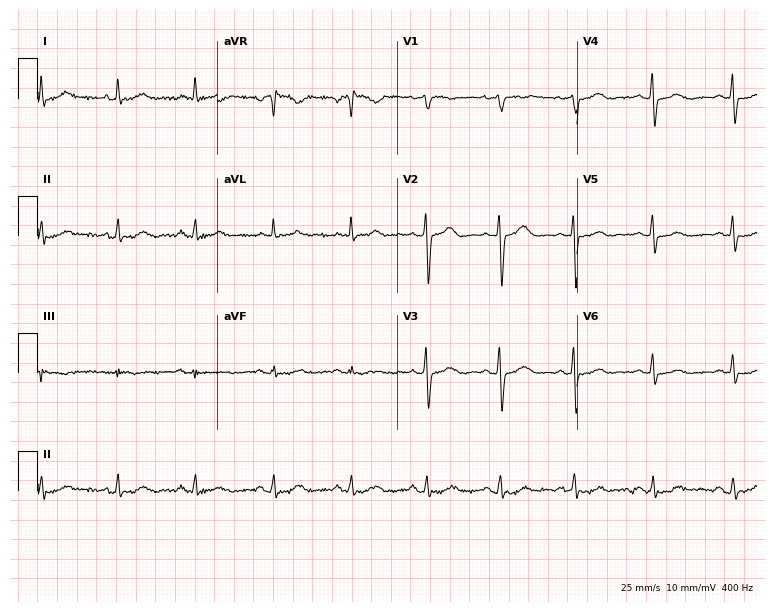
Resting 12-lead electrocardiogram. Patient: a female, 55 years old. Read as a normal ECG.